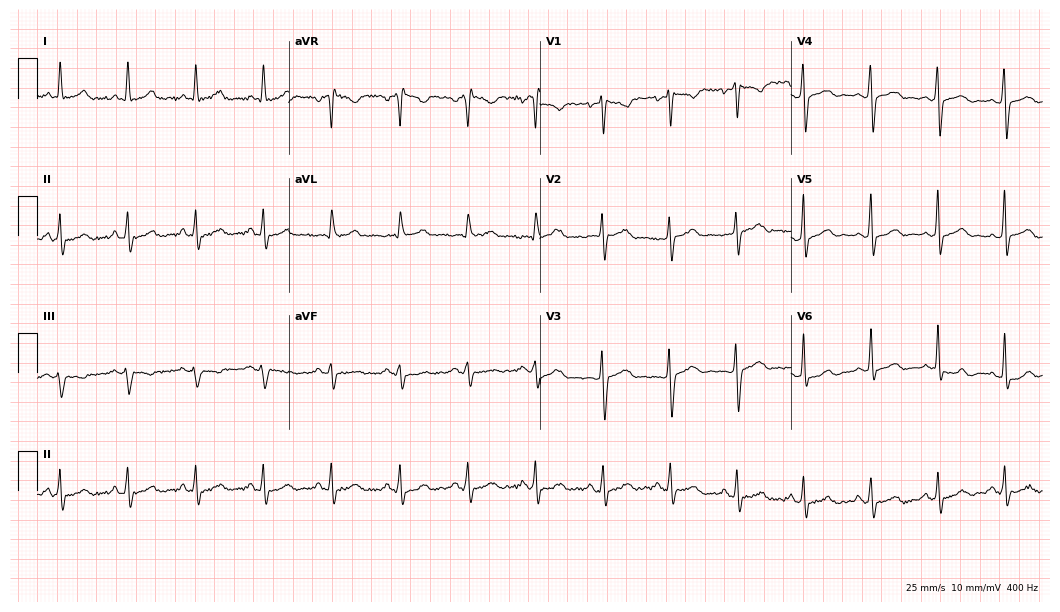
Electrocardiogram (10.2-second recording at 400 Hz), a man, 50 years old. Overall reading on record: normal ECG.